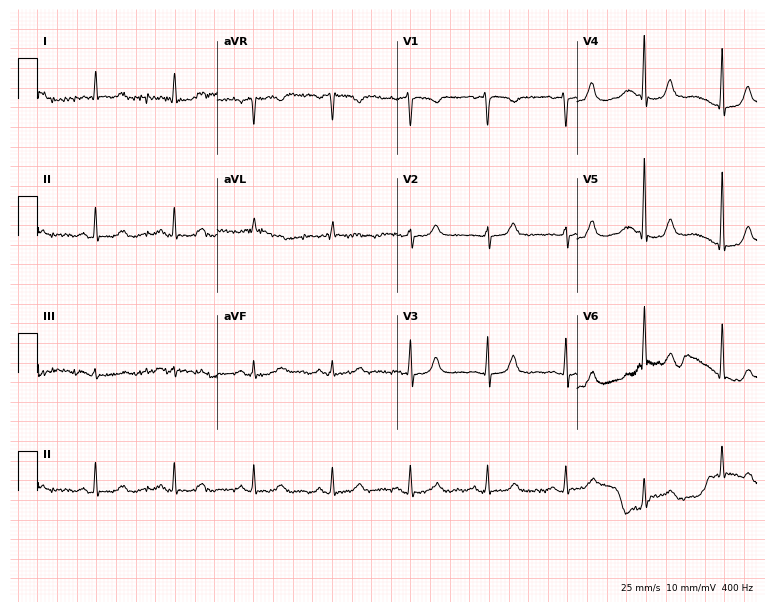
Electrocardiogram, a 67-year-old female. Of the six screened findings (first-degree AV block, right bundle branch block, left bundle branch block, sinus bradycardia, atrial fibrillation, sinus tachycardia), none is recorded. Findings outside these six are not listed.